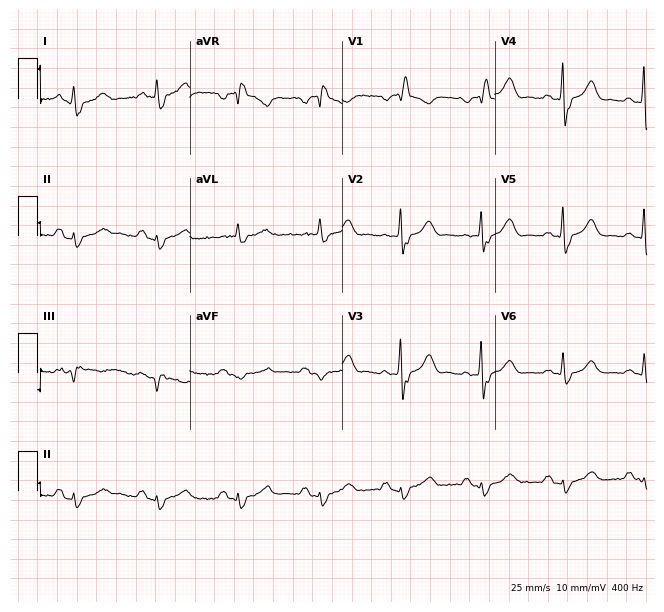
Resting 12-lead electrocardiogram (6.2-second recording at 400 Hz). Patient: an 84-year-old man. None of these six findings is recorded: first-degree AV block, right bundle branch block, left bundle branch block, sinus bradycardia, atrial fibrillation, sinus tachycardia.